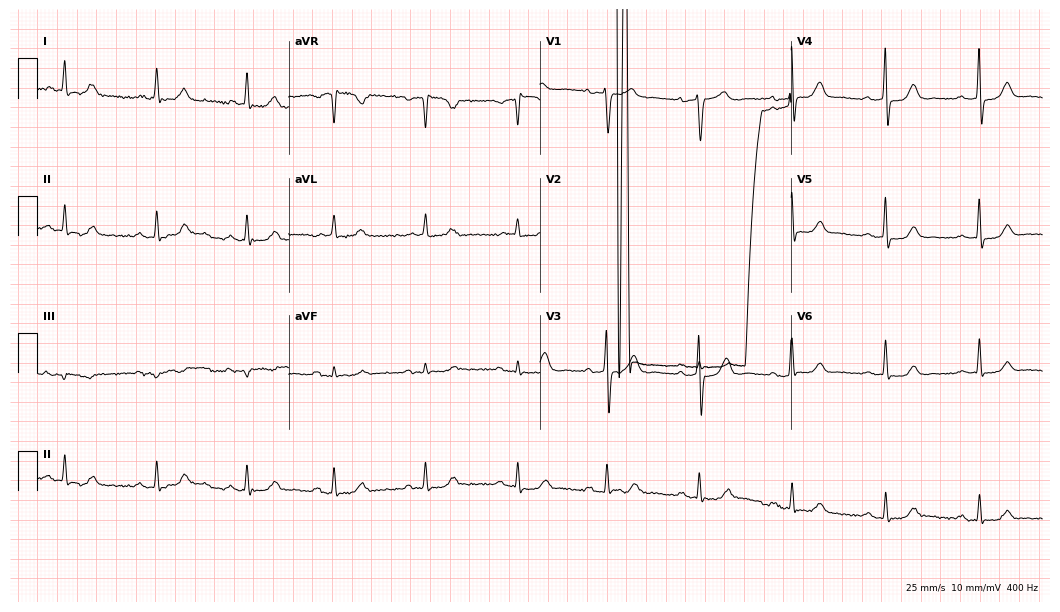
Electrocardiogram, a woman, 62 years old. Of the six screened findings (first-degree AV block, right bundle branch block, left bundle branch block, sinus bradycardia, atrial fibrillation, sinus tachycardia), none is recorded. Findings outside these six are not listed.